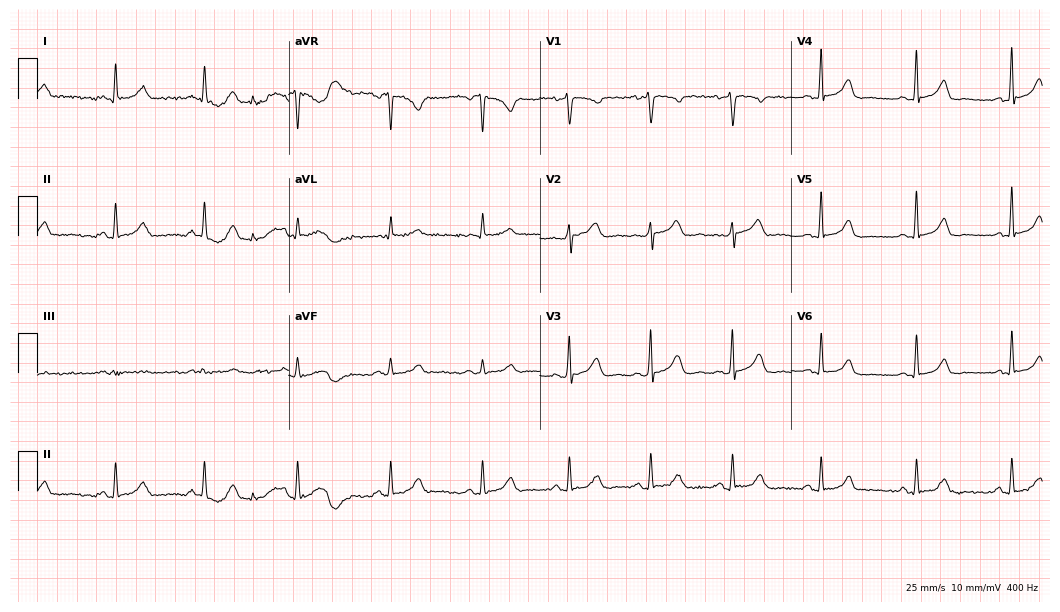
Resting 12-lead electrocardiogram (10.2-second recording at 400 Hz). Patient: a 46-year-old female. Read as a normal ECG.